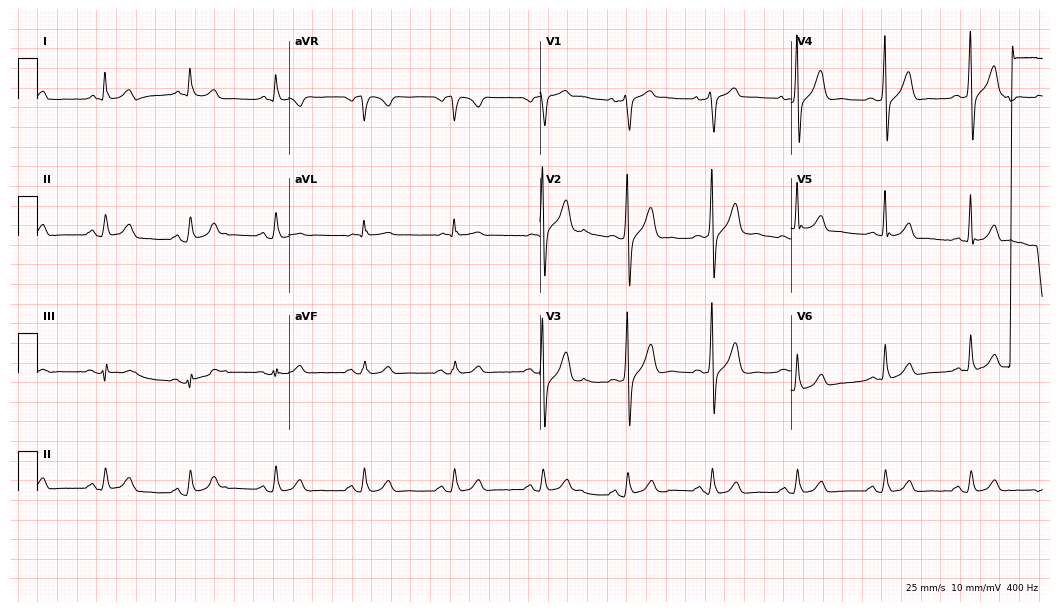
Electrocardiogram (10.2-second recording at 400 Hz), a 45-year-old male. Overall reading on record: normal ECG.